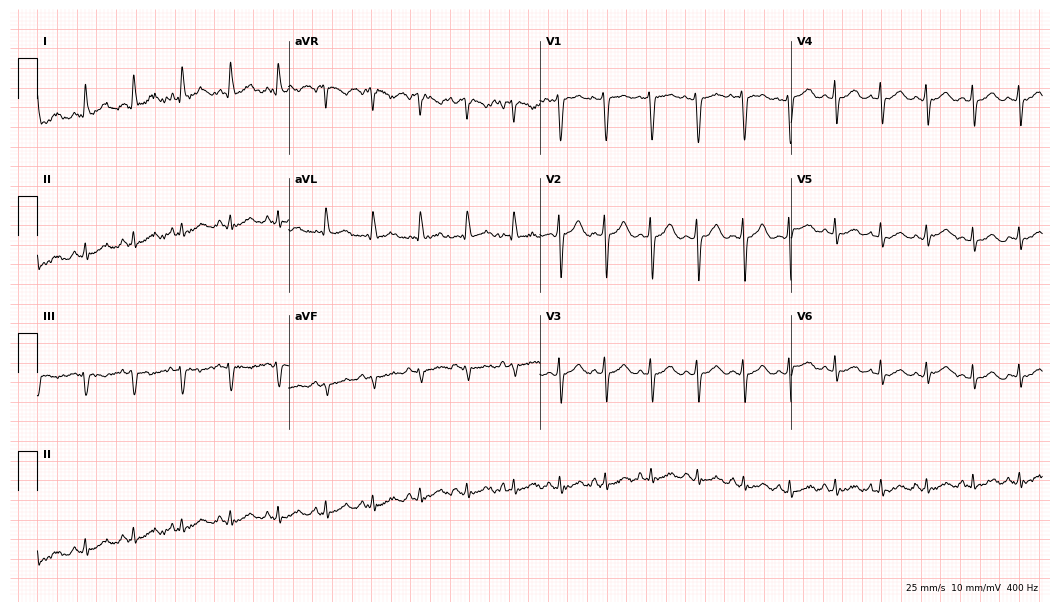
Standard 12-lead ECG recorded from a female, 46 years old. The tracing shows sinus tachycardia (a sinus rate of 100 beats per minute or more).